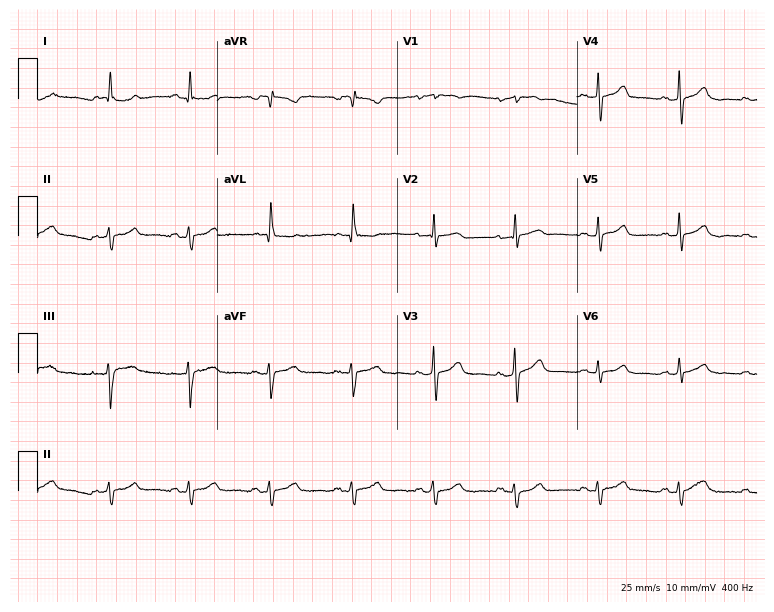
ECG (7.3-second recording at 400 Hz) — a female patient, 76 years old. Screened for six findings — first-degree AV block, right bundle branch block (RBBB), left bundle branch block (LBBB), sinus bradycardia, atrial fibrillation (AF), sinus tachycardia — none is recorded.